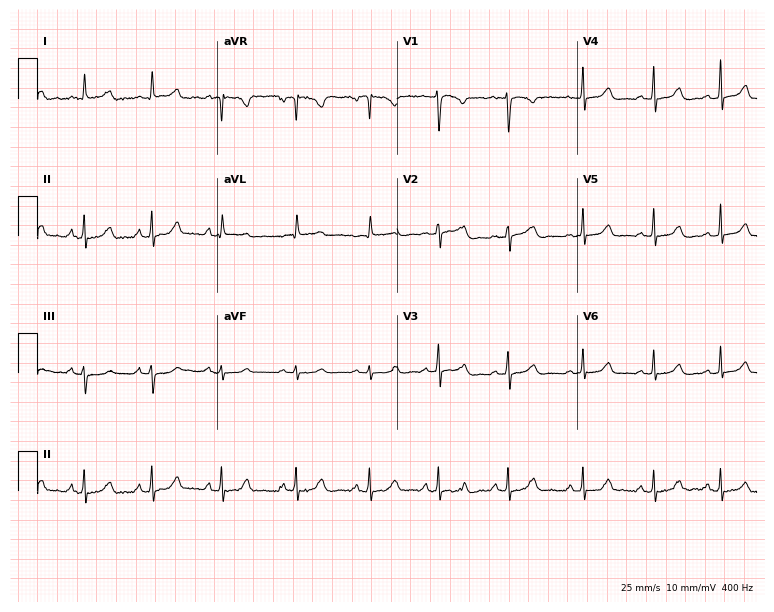
12-lead ECG from a female, 47 years old. Labelled as a normal ECG.